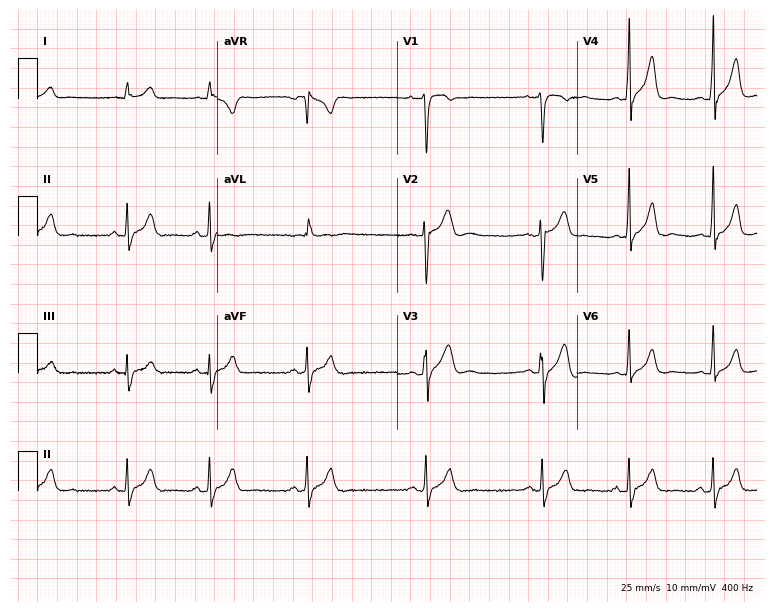
12-lead ECG from a male, 20 years old. Screened for six findings — first-degree AV block, right bundle branch block, left bundle branch block, sinus bradycardia, atrial fibrillation, sinus tachycardia — none is recorded. Other findings, if any, are not listed.